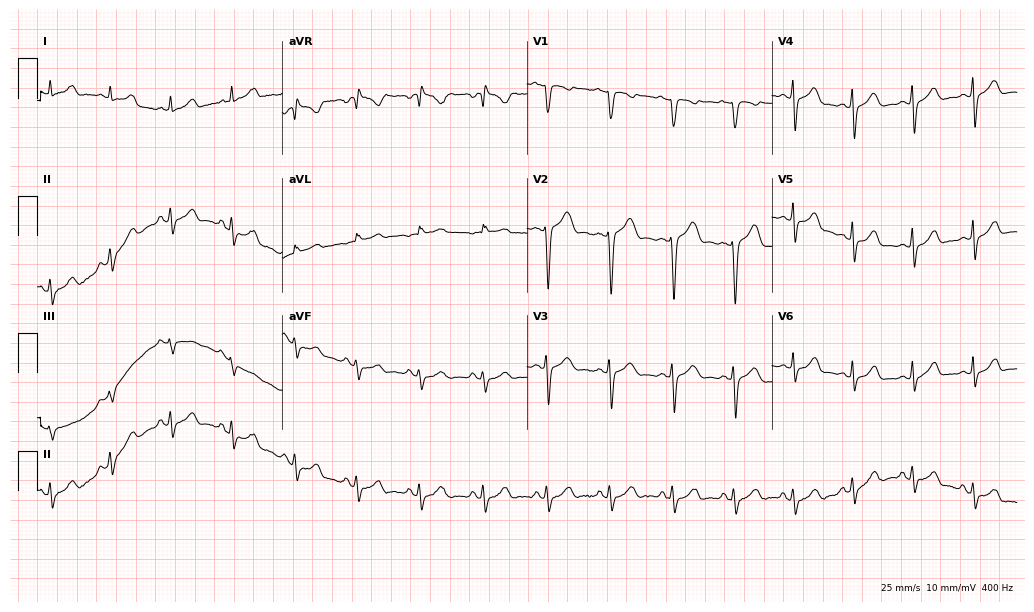
Standard 12-lead ECG recorded from a female patient, 28 years old (10-second recording at 400 Hz). None of these six findings is recorded: first-degree AV block, right bundle branch block (RBBB), left bundle branch block (LBBB), sinus bradycardia, atrial fibrillation (AF), sinus tachycardia.